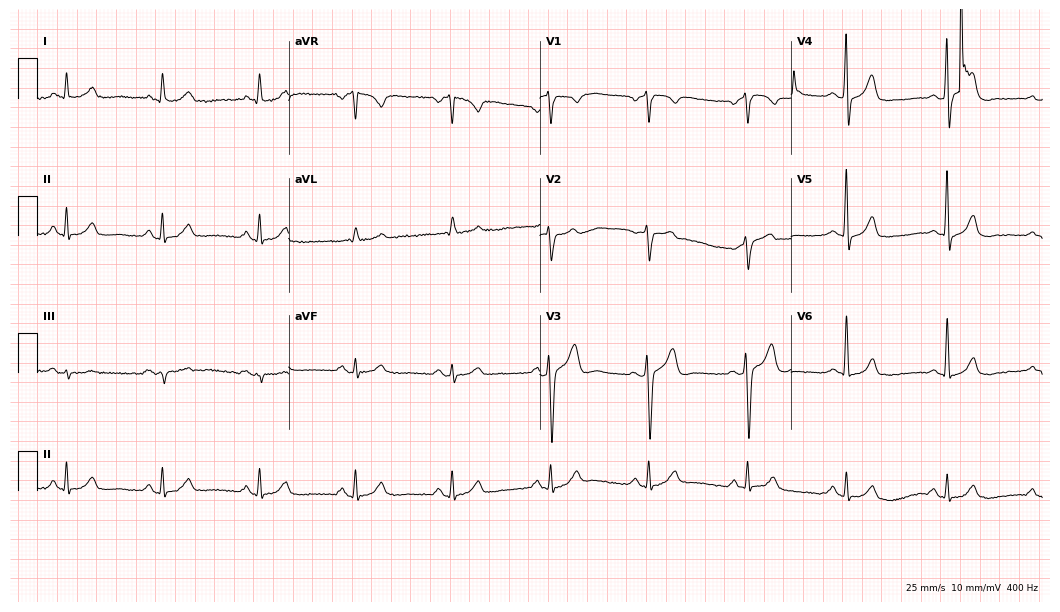
12-lead ECG (10.2-second recording at 400 Hz) from a male patient, 63 years old. Labelled as a normal ECG.